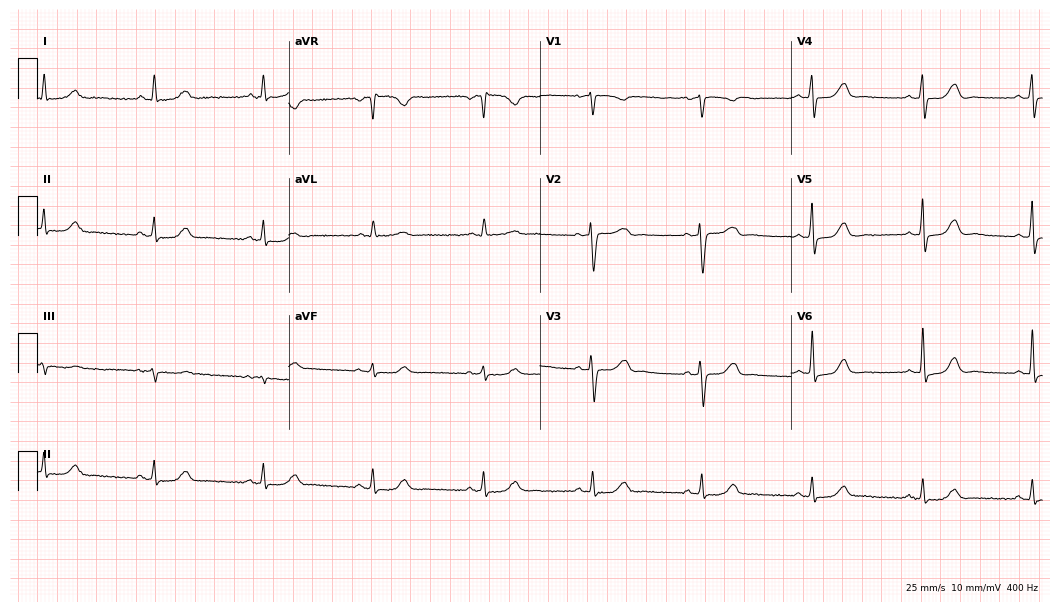
12-lead ECG from a 78-year-old woman. Recorded interpretation: within normal limits.